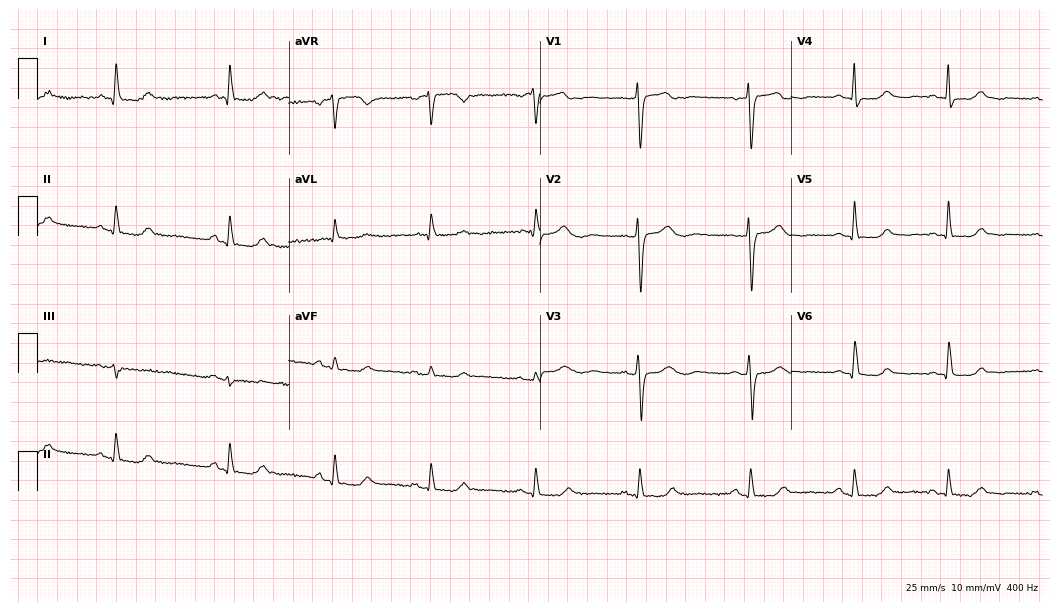
ECG — a 72-year-old woman. Screened for six findings — first-degree AV block, right bundle branch block (RBBB), left bundle branch block (LBBB), sinus bradycardia, atrial fibrillation (AF), sinus tachycardia — none is recorded.